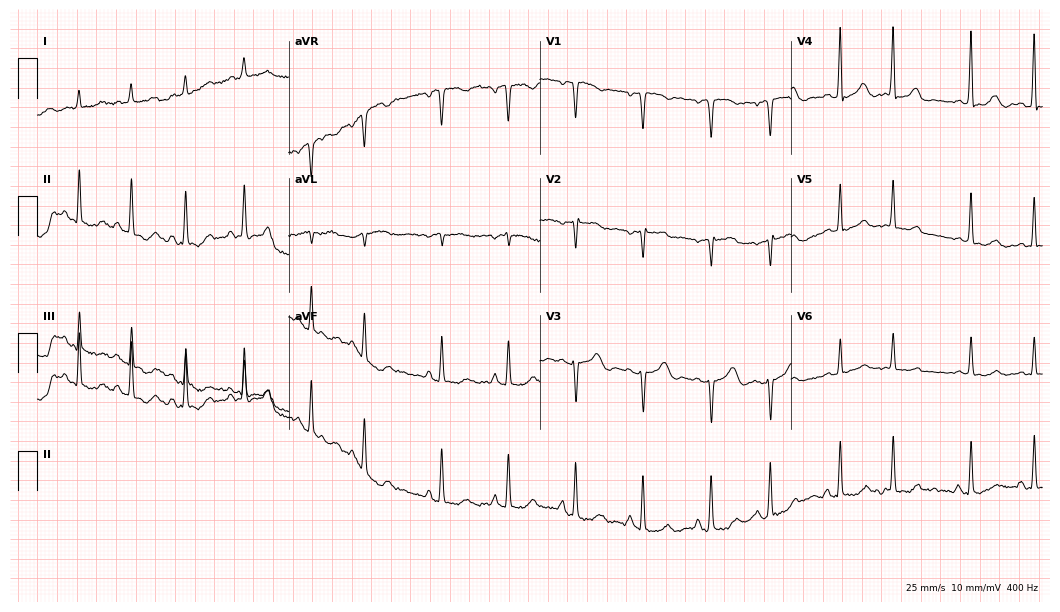
12-lead ECG from a woman, 83 years old. No first-degree AV block, right bundle branch block, left bundle branch block, sinus bradycardia, atrial fibrillation or sinus tachycardia recorded for this tracing. Findings outside these six are not listed.